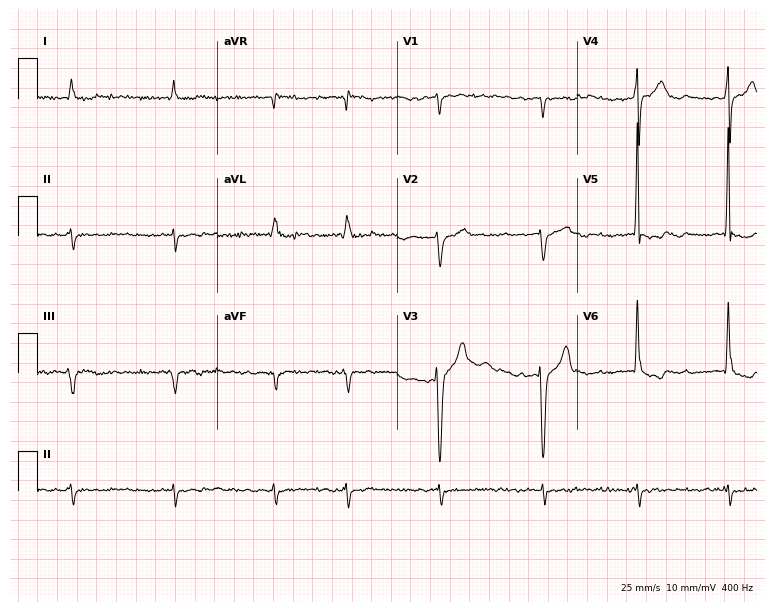
Resting 12-lead electrocardiogram (7.3-second recording at 400 Hz). Patient: a 58-year-old male. The tracing shows atrial fibrillation.